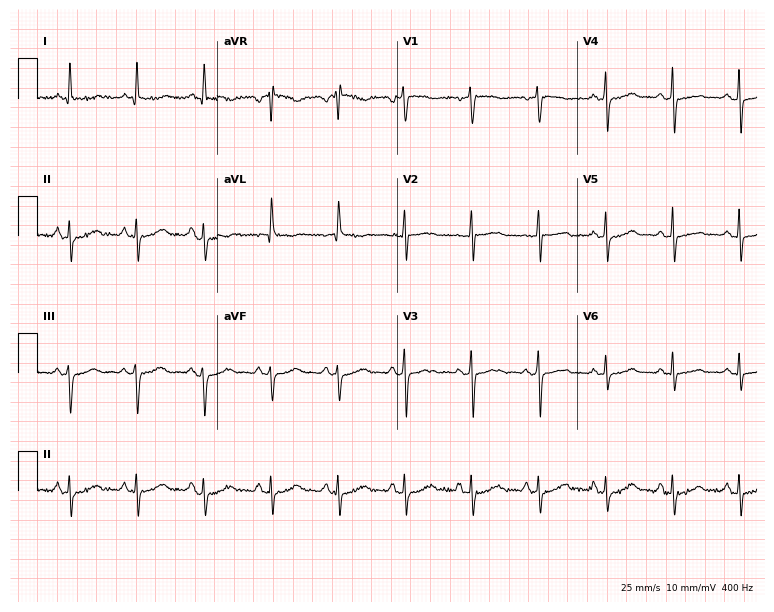
Resting 12-lead electrocardiogram. Patient: a female, 64 years old. Read as a normal ECG.